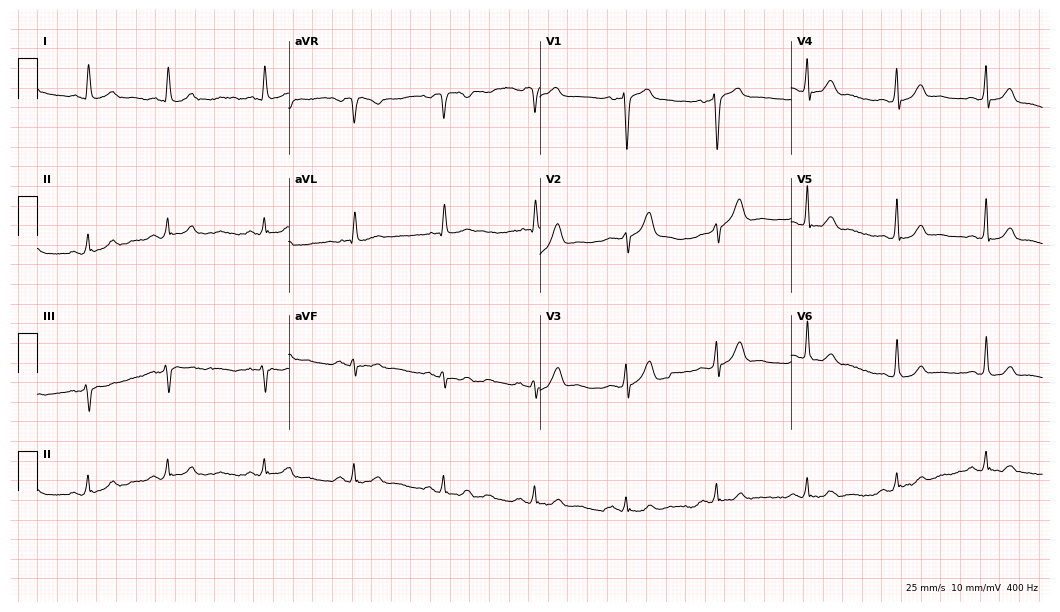
12-lead ECG (10.2-second recording at 400 Hz) from a 65-year-old male. Screened for six findings — first-degree AV block, right bundle branch block, left bundle branch block, sinus bradycardia, atrial fibrillation, sinus tachycardia — none is recorded.